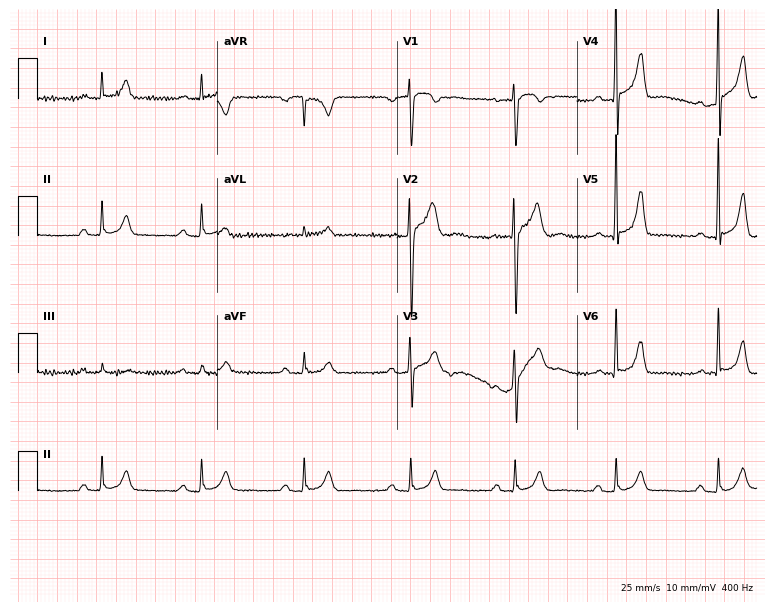
Resting 12-lead electrocardiogram (7.3-second recording at 400 Hz). Patient: a 45-year-old man. The tracing shows first-degree AV block.